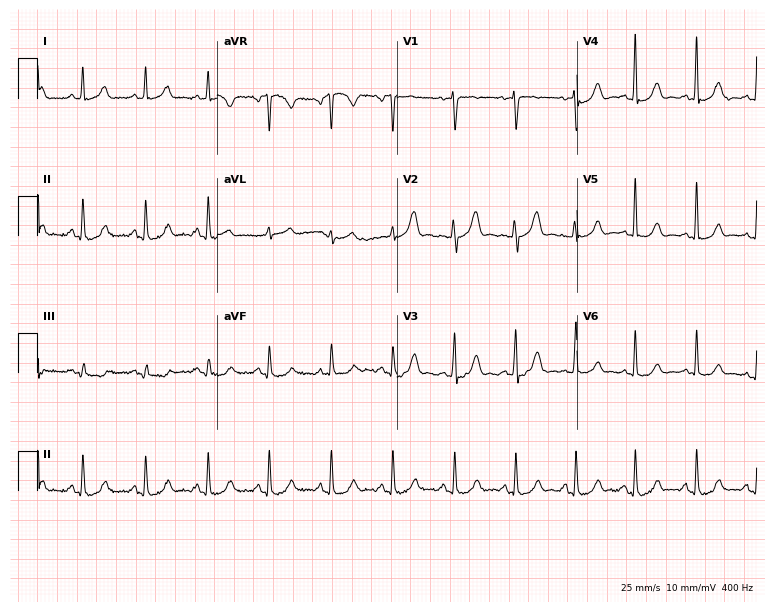
Standard 12-lead ECG recorded from a 48-year-old female patient. Read as a normal ECG.